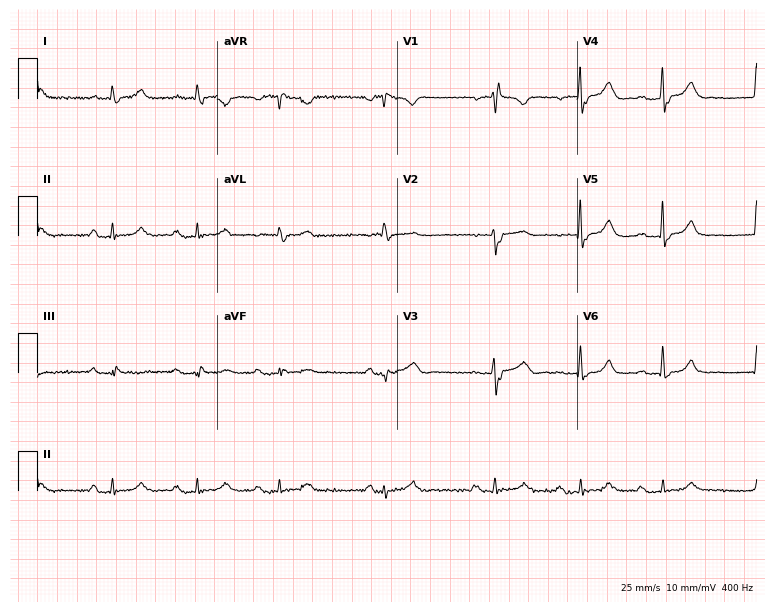
Resting 12-lead electrocardiogram. Patient: a woman, 81 years old. None of these six findings is recorded: first-degree AV block, right bundle branch block, left bundle branch block, sinus bradycardia, atrial fibrillation, sinus tachycardia. Other findings, if any, are not listed.